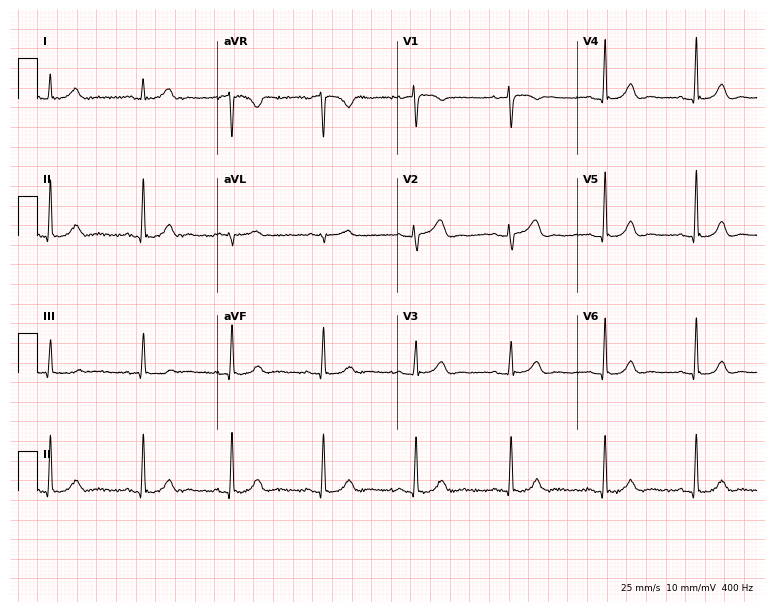
12-lead ECG (7.3-second recording at 400 Hz) from a woman, 37 years old. Labelled as a normal ECG.